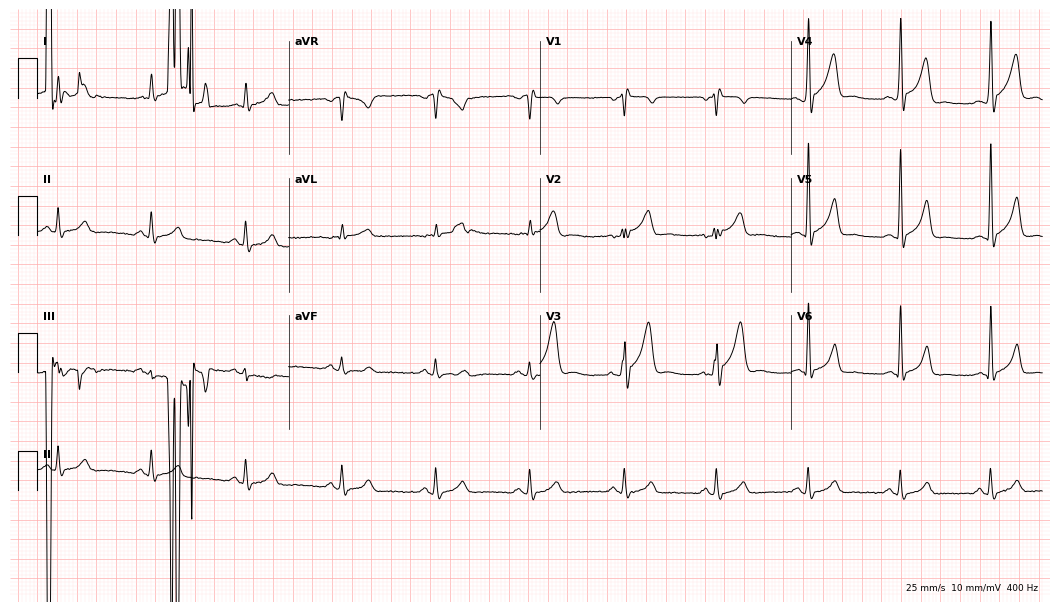
Standard 12-lead ECG recorded from a 54-year-old male. None of these six findings is recorded: first-degree AV block, right bundle branch block, left bundle branch block, sinus bradycardia, atrial fibrillation, sinus tachycardia.